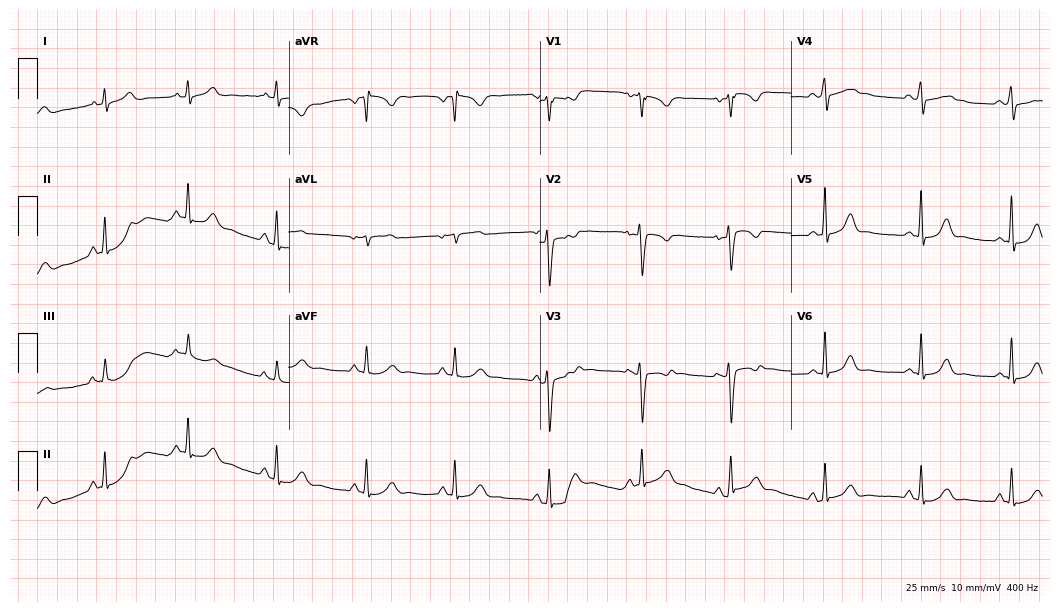
ECG (10.2-second recording at 400 Hz) — a 30-year-old female. Labelled as a normal ECG.